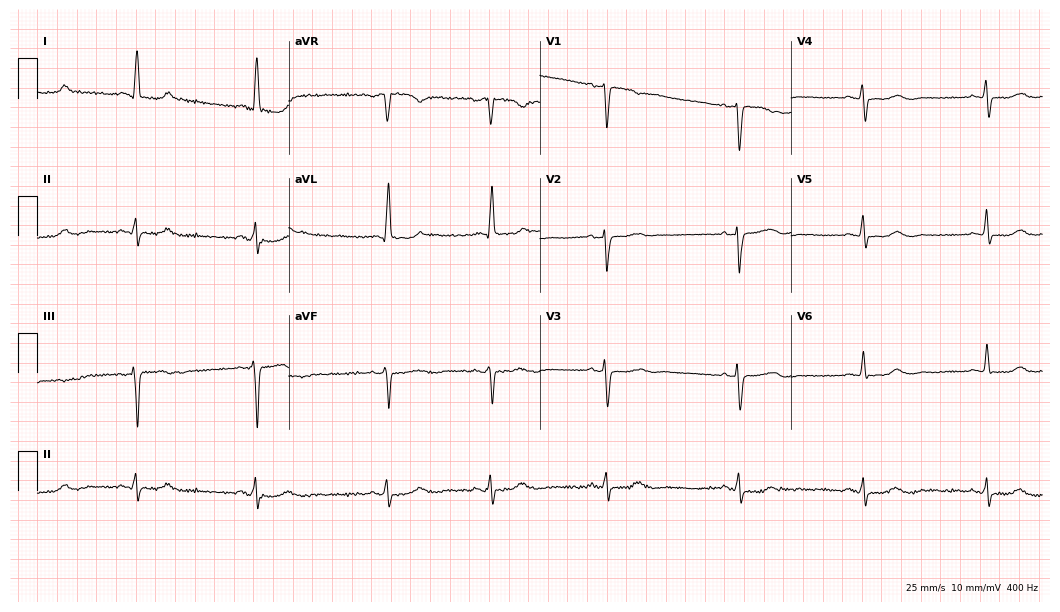
12-lead ECG from a woman, 63 years old. Recorded interpretation: within normal limits.